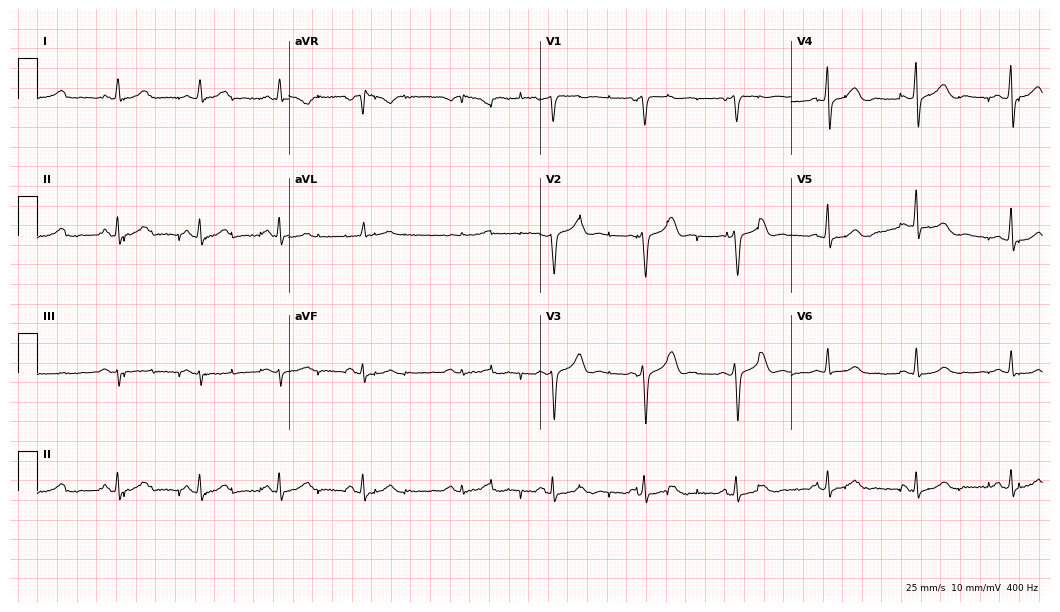
Resting 12-lead electrocardiogram. Patient: a 62-year-old man. Read as a normal ECG.